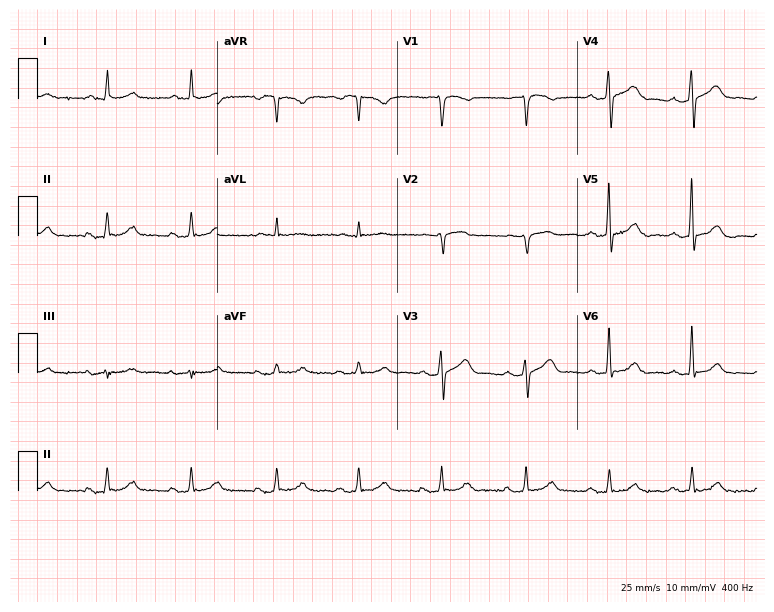
12-lead ECG from a 69-year-old man (7.3-second recording at 400 Hz). Recorded interpretation: within normal limits.